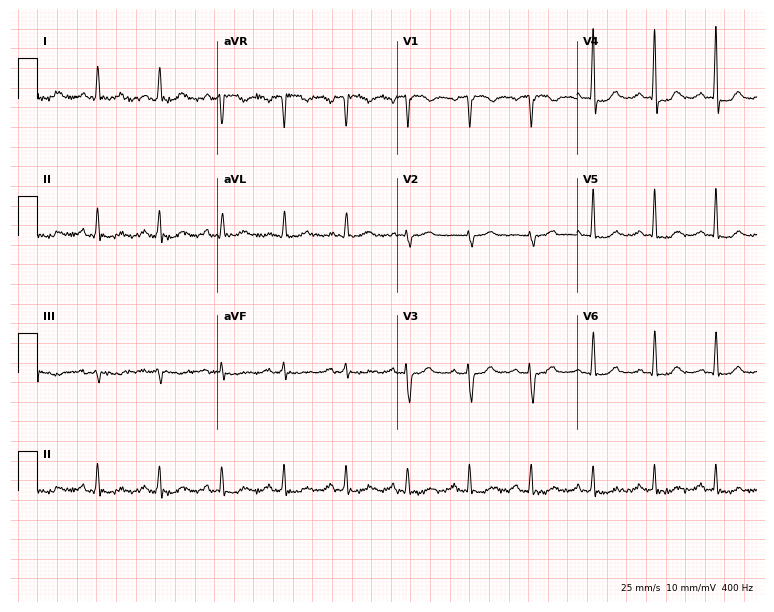
Standard 12-lead ECG recorded from a female, 79 years old (7.3-second recording at 400 Hz). None of these six findings is recorded: first-degree AV block, right bundle branch block, left bundle branch block, sinus bradycardia, atrial fibrillation, sinus tachycardia. Only these six findings were labelled.